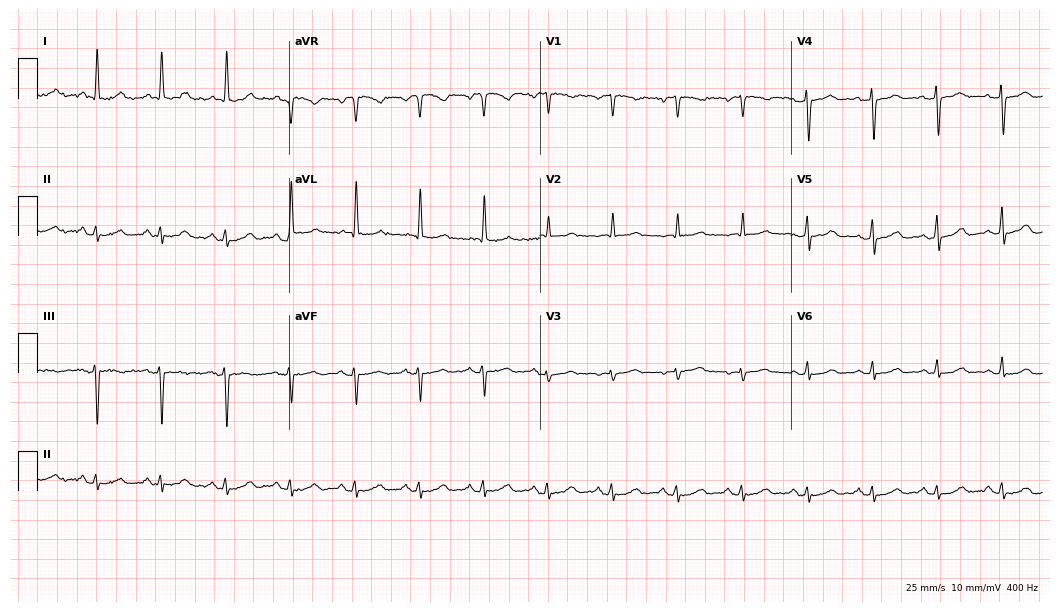
12-lead ECG (10.2-second recording at 400 Hz) from a female, 68 years old. Labelled as a normal ECG.